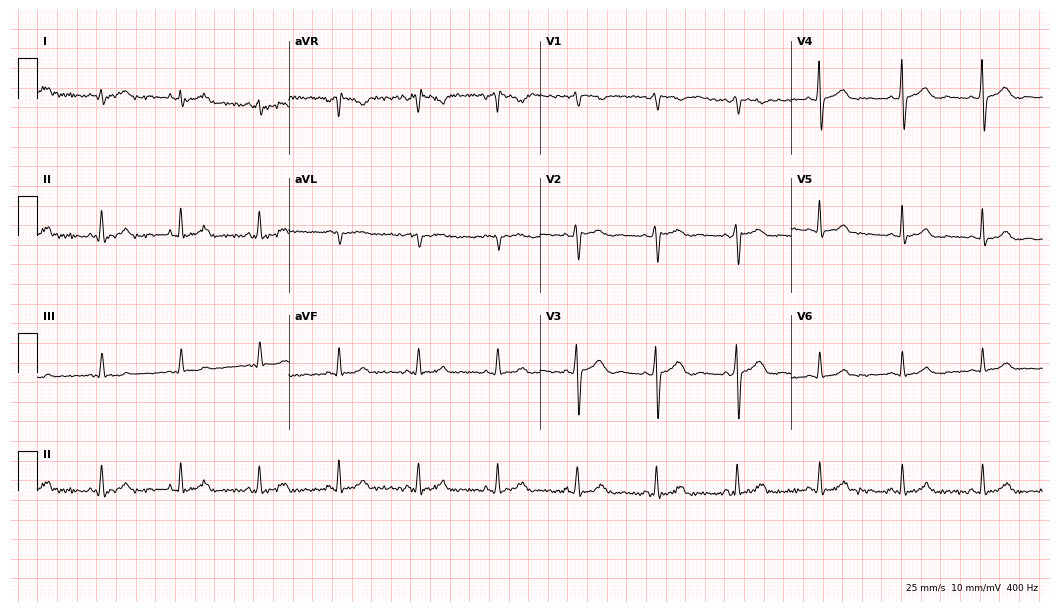
Standard 12-lead ECG recorded from a 31-year-old female patient. None of these six findings is recorded: first-degree AV block, right bundle branch block, left bundle branch block, sinus bradycardia, atrial fibrillation, sinus tachycardia. Findings outside these six are not listed.